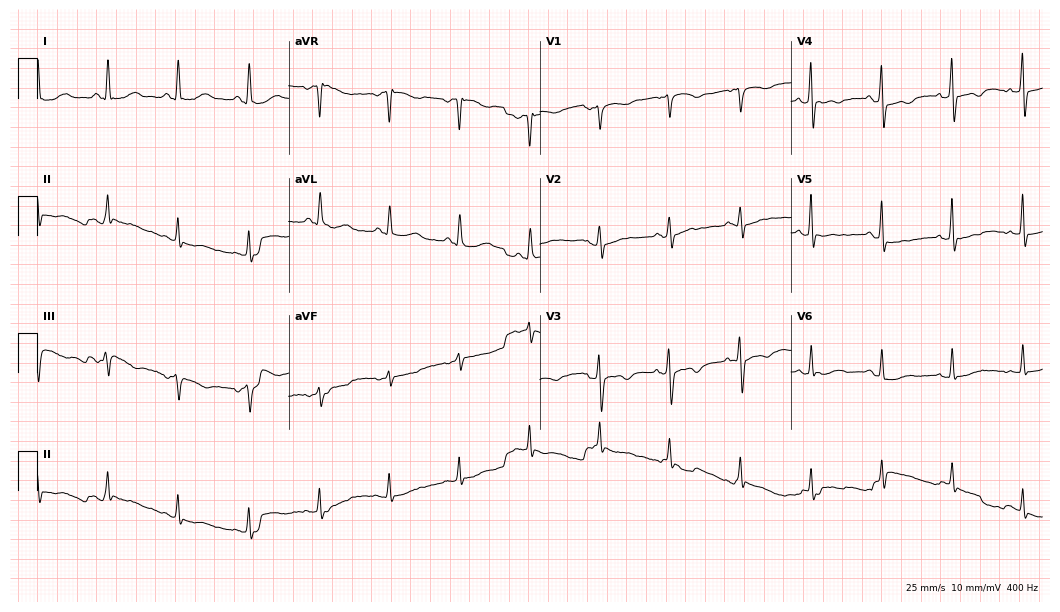
Electrocardiogram (10.2-second recording at 400 Hz), a female, 70 years old. Of the six screened findings (first-degree AV block, right bundle branch block, left bundle branch block, sinus bradycardia, atrial fibrillation, sinus tachycardia), none is recorded. Findings outside these six are not listed.